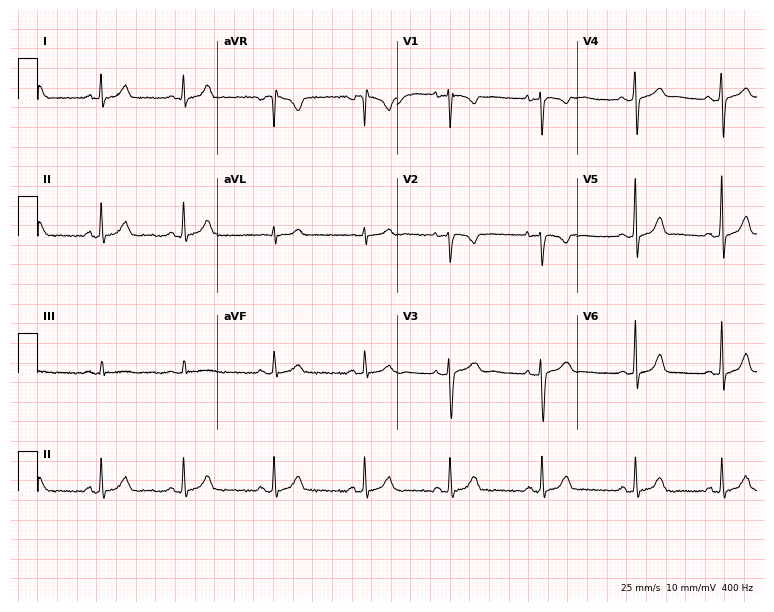
Standard 12-lead ECG recorded from an 18-year-old female. None of these six findings is recorded: first-degree AV block, right bundle branch block, left bundle branch block, sinus bradycardia, atrial fibrillation, sinus tachycardia. Findings outside these six are not listed.